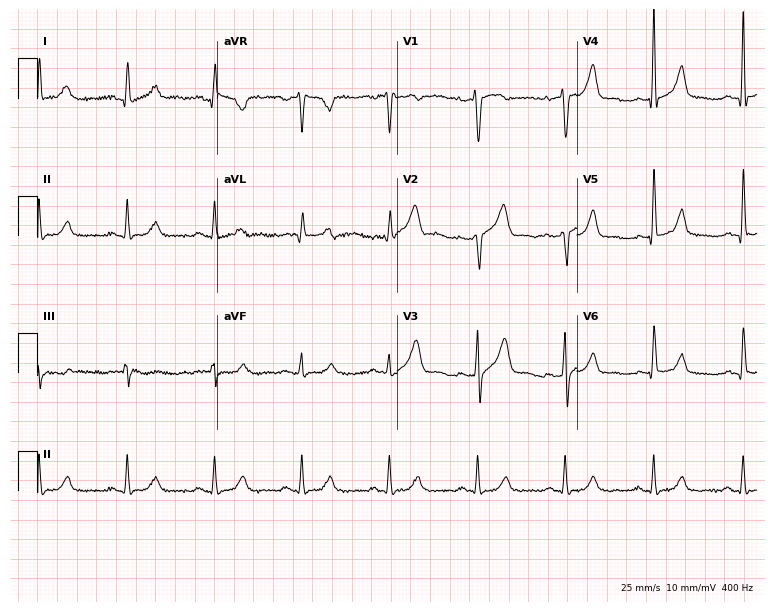
Standard 12-lead ECG recorded from a 50-year-old male patient. None of these six findings is recorded: first-degree AV block, right bundle branch block, left bundle branch block, sinus bradycardia, atrial fibrillation, sinus tachycardia.